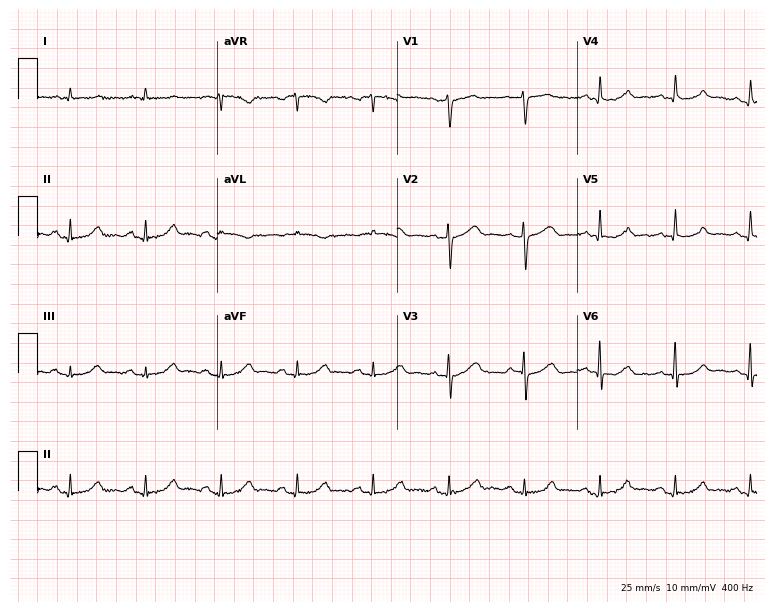
12-lead ECG from an 82-year-old male. Labelled as a normal ECG.